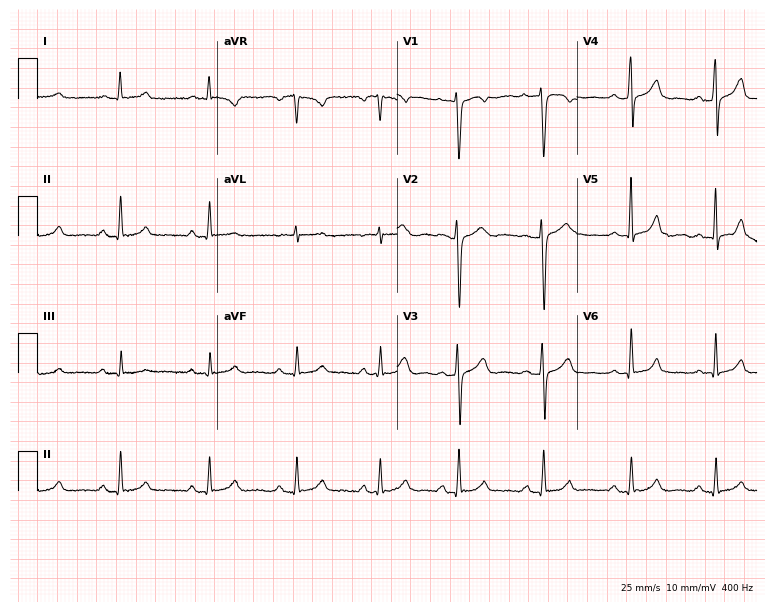
Electrocardiogram (7.3-second recording at 400 Hz), a female patient, 37 years old. Of the six screened findings (first-degree AV block, right bundle branch block, left bundle branch block, sinus bradycardia, atrial fibrillation, sinus tachycardia), none is recorded. Only these six findings were labelled.